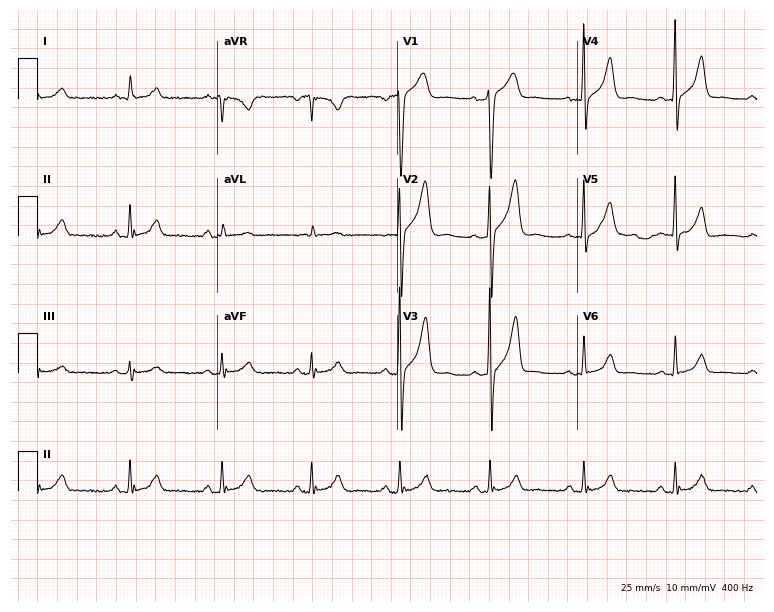
Standard 12-lead ECG recorded from a 46-year-old male (7.3-second recording at 400 Hz). Read as a normal ECG.